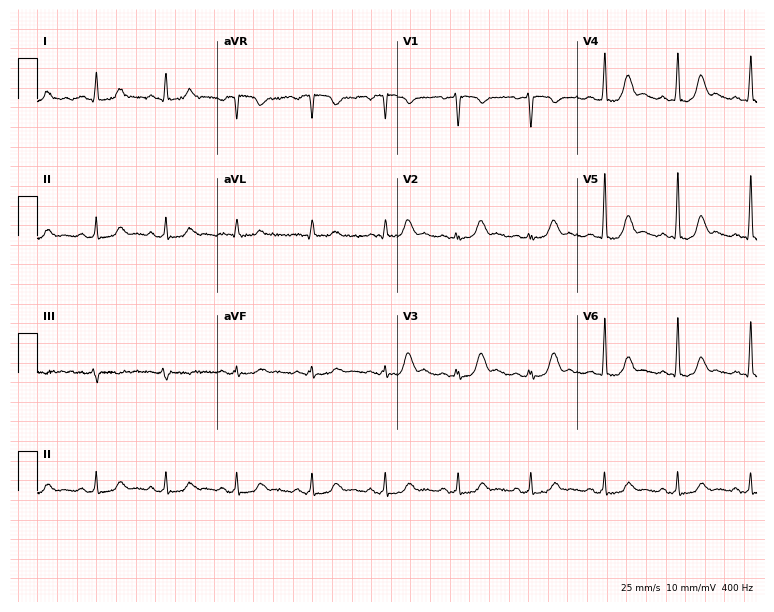
ECG — a female, 42 years old. Labelled as a normal ECG.